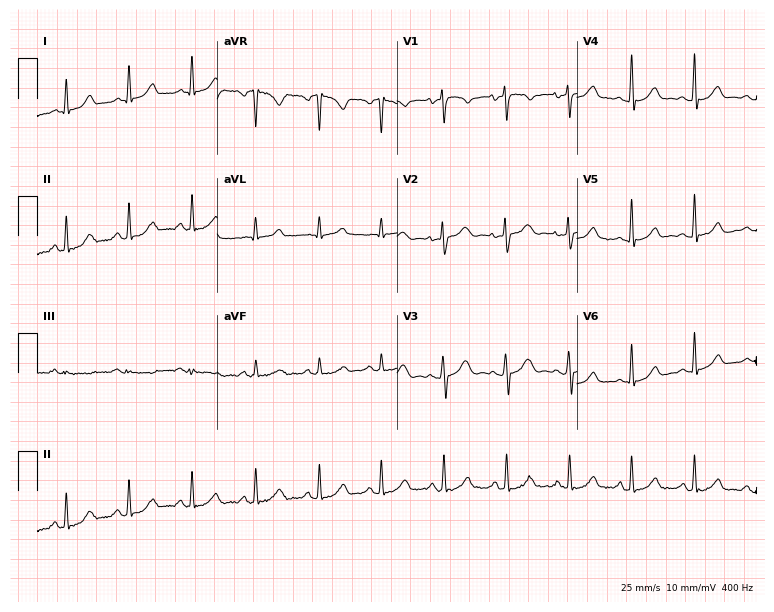
Standard 12-lead ECG recorded from a 25-year-old female patient. None of these six findings is recorded: first-degree AV block, right bundle branch block, left bundle branch block, sinus bradycardia, atrial fibrillation, sinus tachycardia.